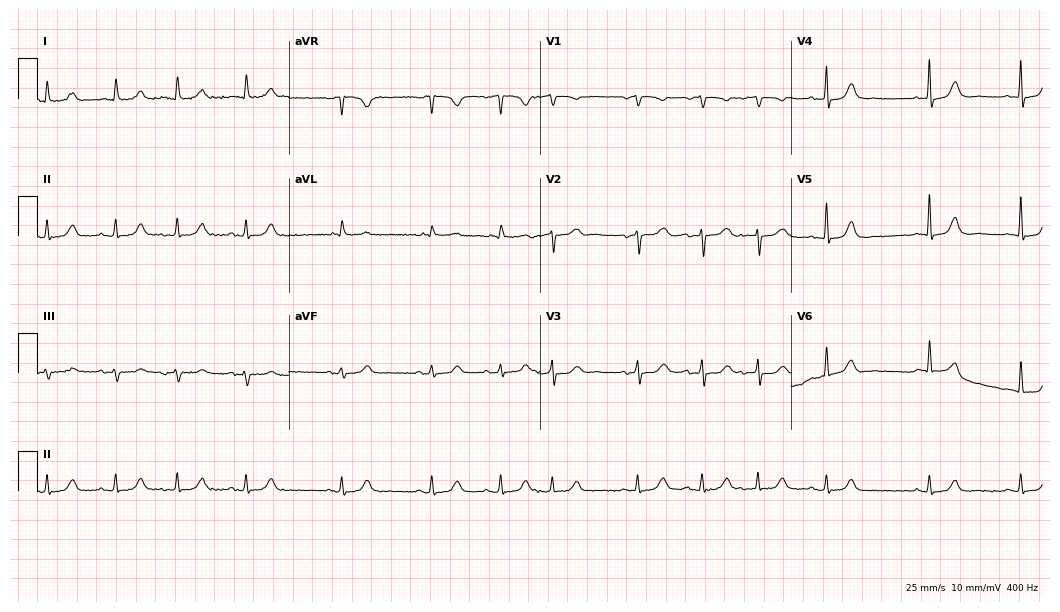
ECG — an 82-year-old woman. Labelled as a normal ECG.